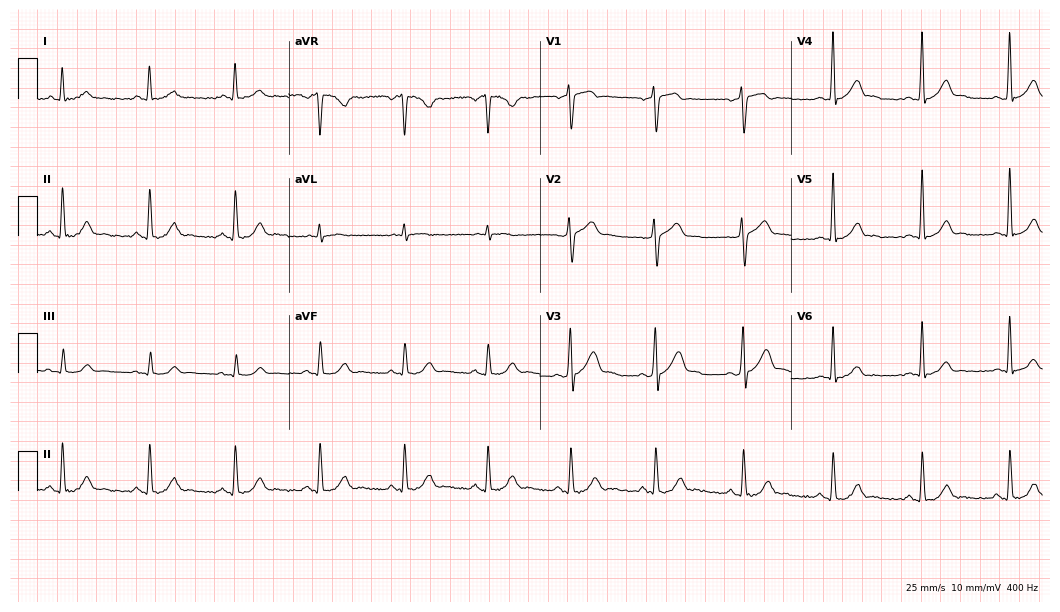
12-lead ECG from a male patient, 35 years old. Recorded interpretation: within normal limits.